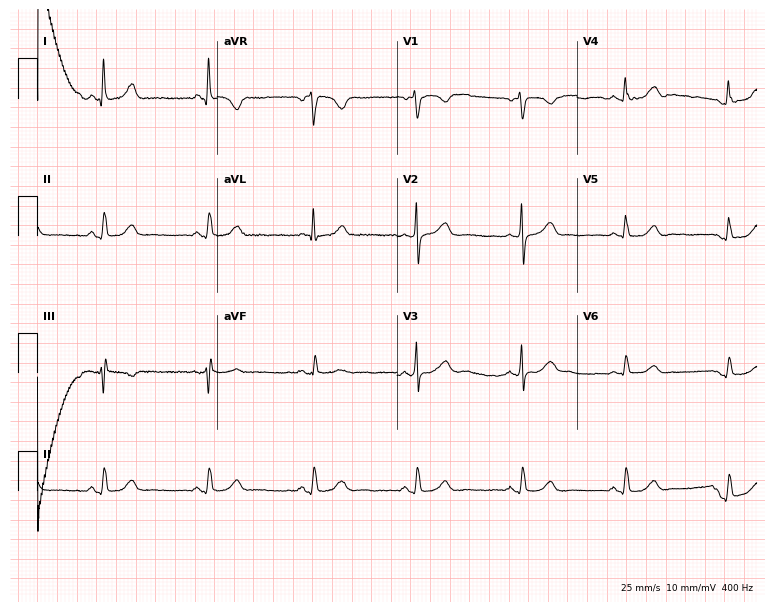
Electrocardiogram, a female, 61 years old. Overall reading on record: normal ECG.